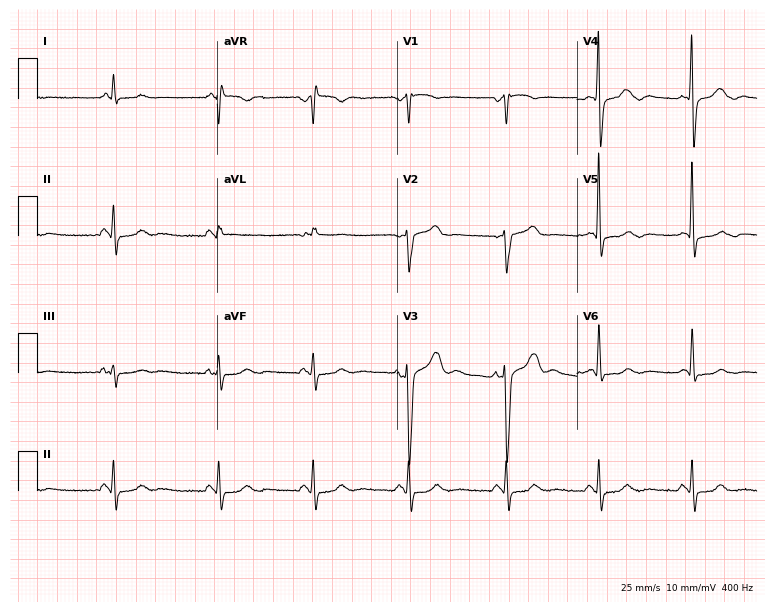
Standard 12-lead ECG recorded from a male patient, 84 years old (7.3-second recording at 400 Hz). None of these six findings is recorded: first-degree AV block, right bundle branch block (RBBB), left bundle branch block (LBBB), sinus bradycardia, atrial fibrillation (AF), sinus tachycardia. Findings outside these six are not listed.